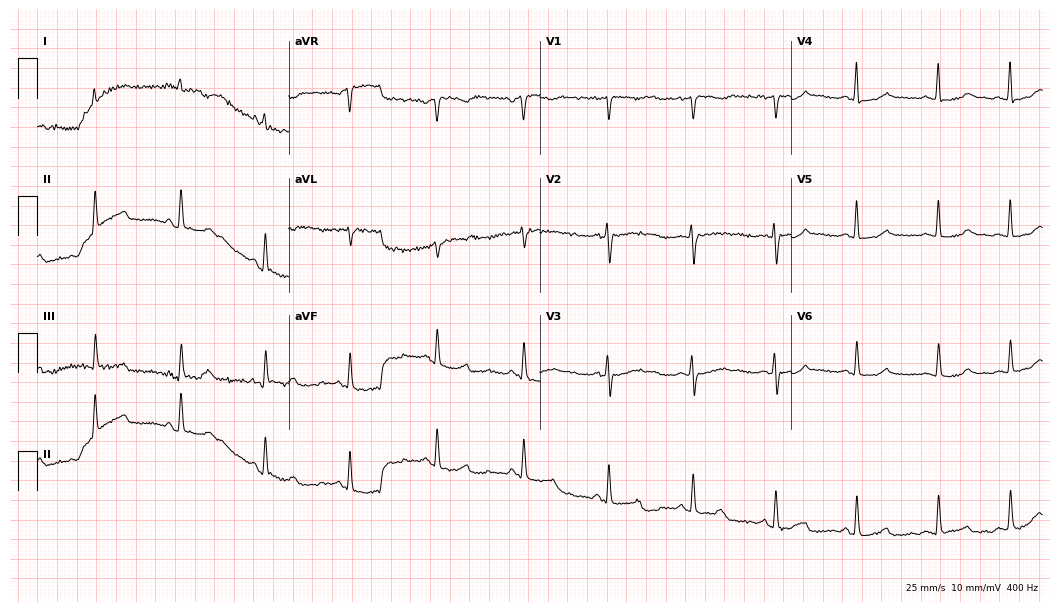
12-lead ECG from a female patient, 49 years old. Screened for six findings — first-degree AV block, right bundle branch block (RBBB), left bundle branch block (LBBB), sinus bradycardia, atrial fibrillation (AF), sinus tachycardia — none is recorded.